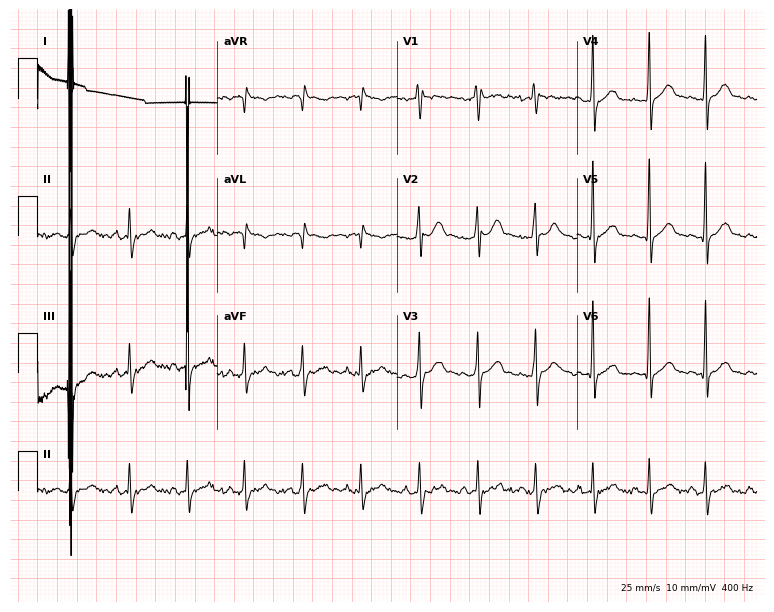
12-lead ECG (7.3-second recording at 400 Hz) from a 34-year-old male. Findings include sinus tachycardia (a sinus rate of 100 beats per minute or more).